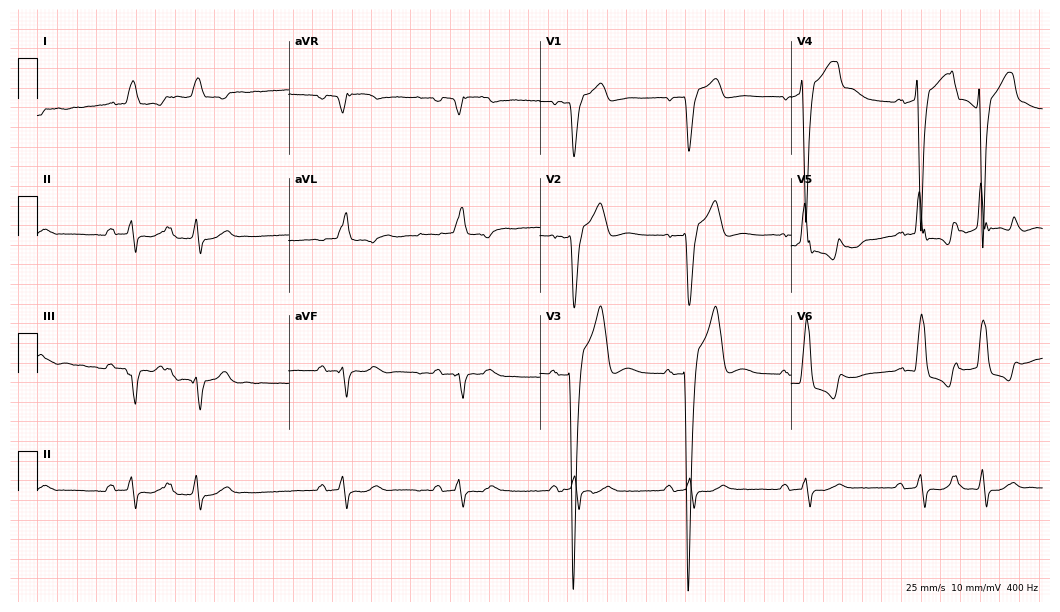
12-lead ECG from a man, 80 years old. Findings include first-degree AV block, atrial fibrillation.